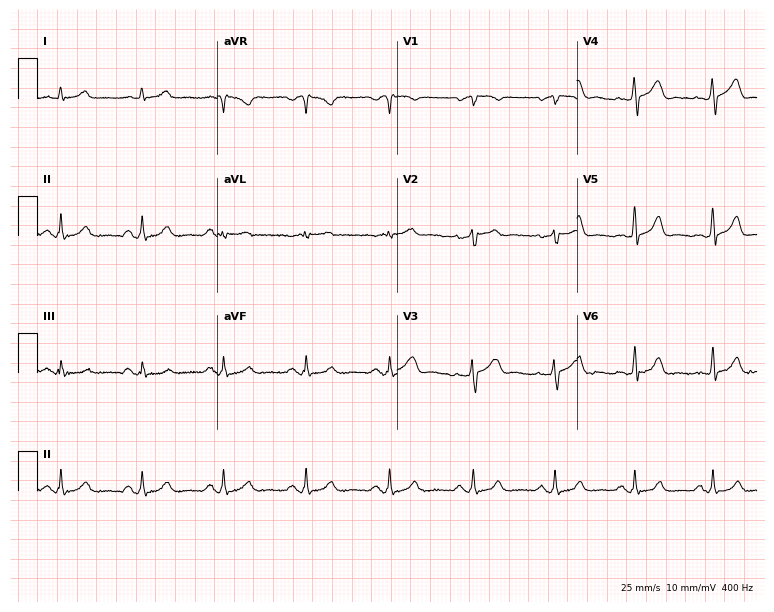
12-lead ECG (7.3-second recording at 400 Hz) from a 45-year-old male patient. Screened for six findings — first-degree AV block, right bundle branch block, left bundle branch block, sinus bradycardia, atrial fibrillation, sinus tachycardia — none is recorded.